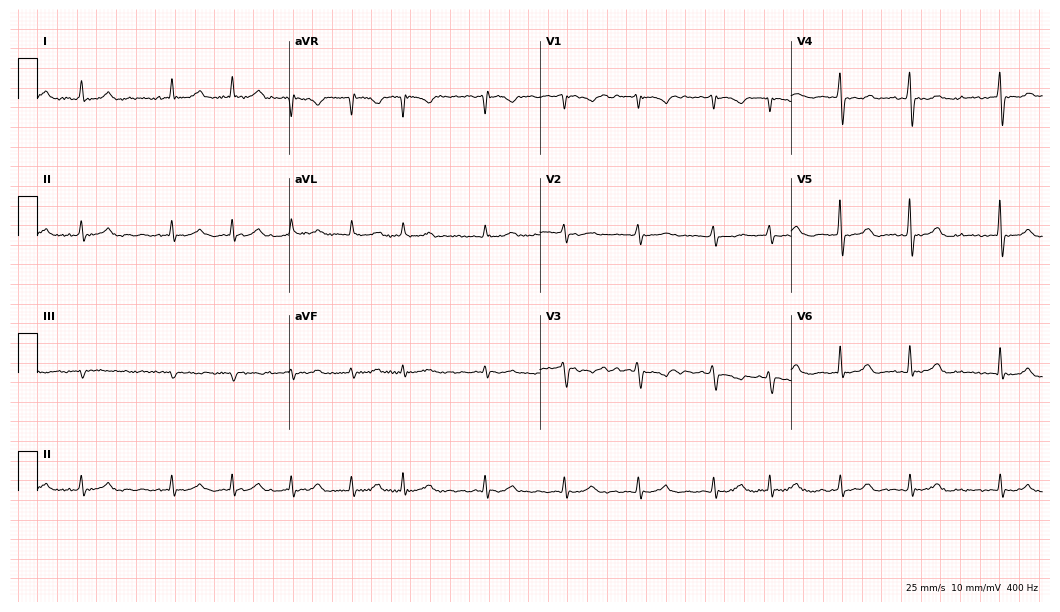
Resting 12-lead electrocardiogram (10.2-second recording at 400 Hz). Patient: a 67-year-old female. The tracing shows atrial fibrillation.